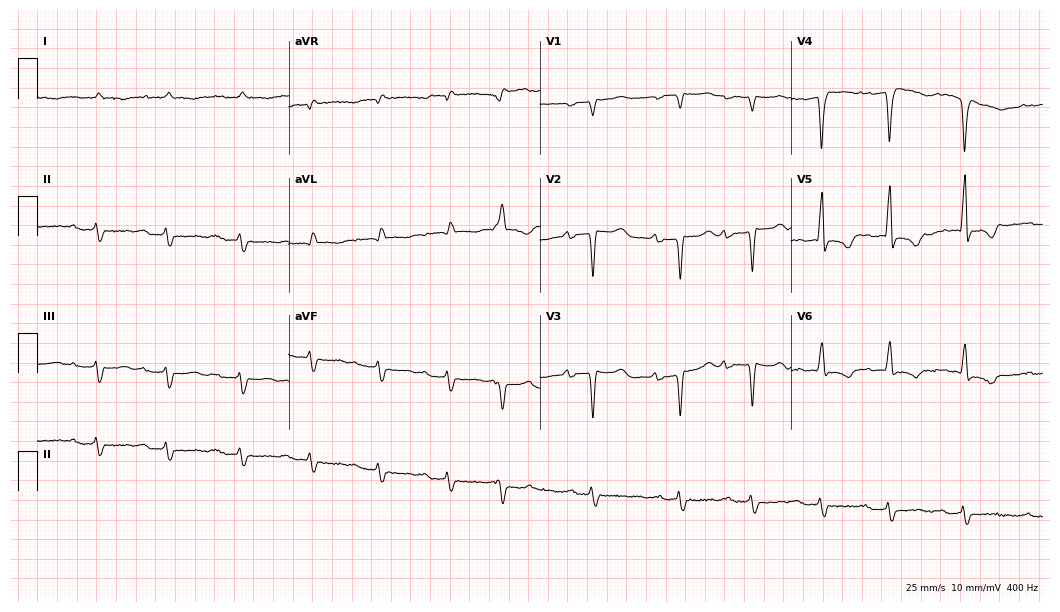
Resting 12-lead electrocardiogram. Patient: a man, 58 years old. None of these six findings is recorded: first-degree AV block, right bundle branch block, left bundle branch block, sinus bradycardia, atrial fibrillation, sinus tachycardia.